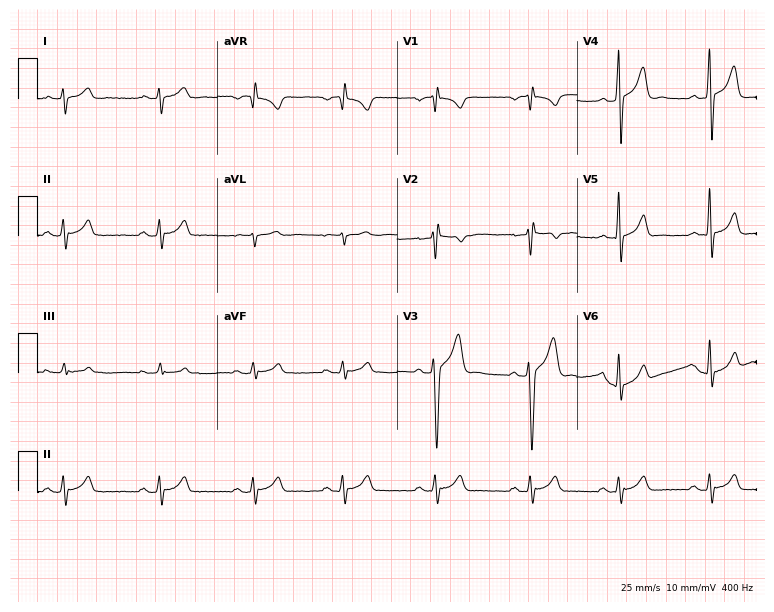
12-lead ECG (7.3-second recording at 400 Hz) from a man, 22 years old. Screened for six findings — first-degree AV block, right bundle branch block, left bundle branch block, sinus bradycardia, atrial fibrillation, sinus tachycardia — none is recorded. Other findings, if any, are not listed.